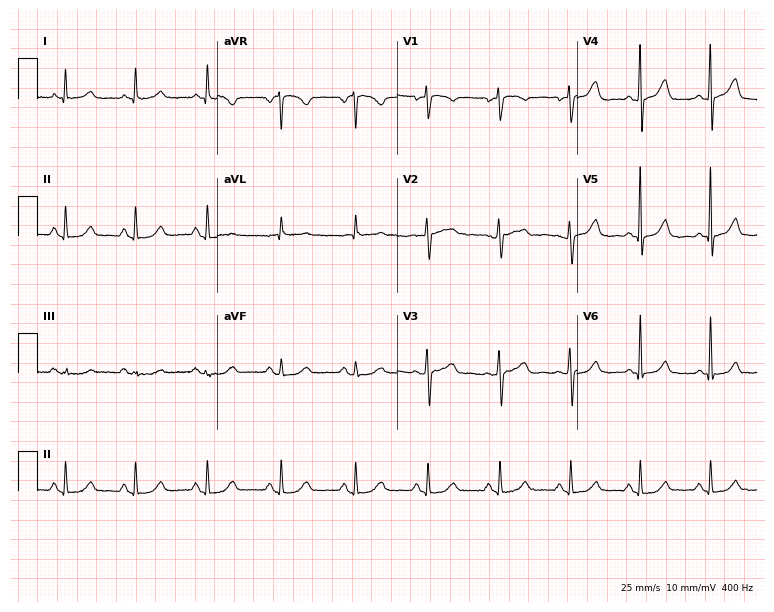
Standard 12-lead ECG recorded from a female, 85 years old. Read as a normal ECG.